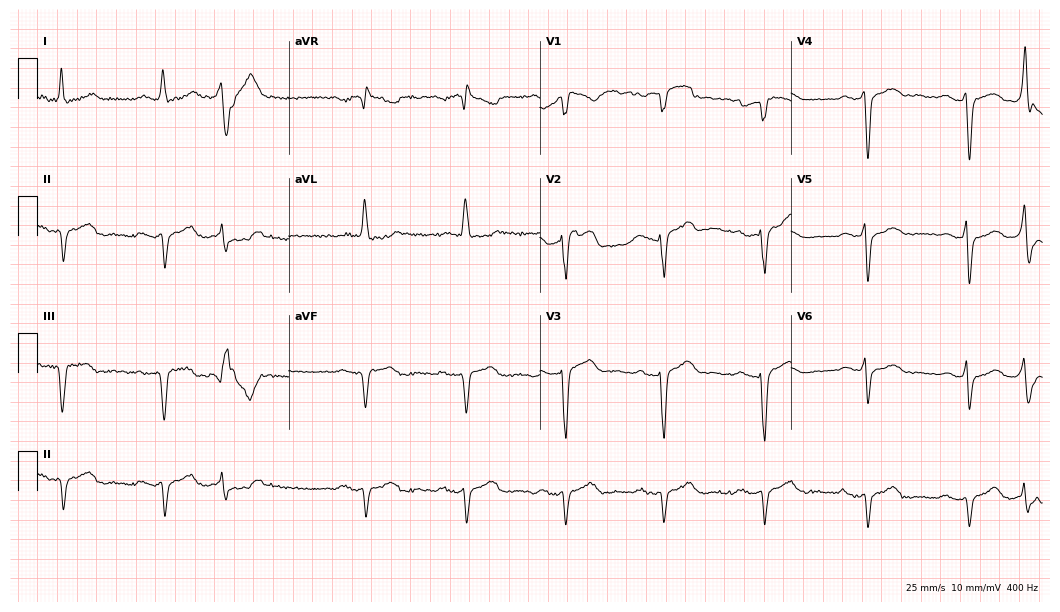
ECG — a 66-year-old male. Screened for six findings — first-degree AV block, right bundle branch block (RBBB), left bundle branch block (LBBB), sinus bradycardia, atrial fibrillation (AF), sinus tachycardia — none is recorded. Findings outside these six are not listed.